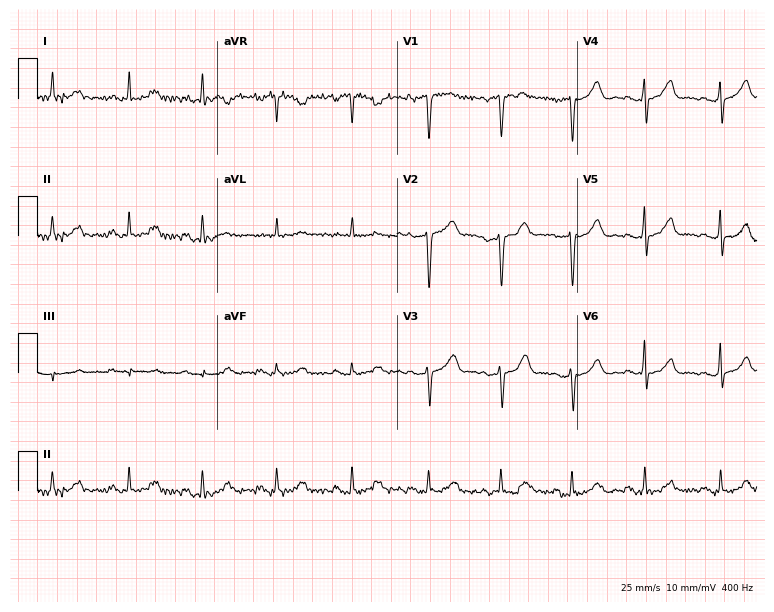
Resting 12-lead electrocardiogram. Patient: a female, 43 years old. Read as a normal ECG.